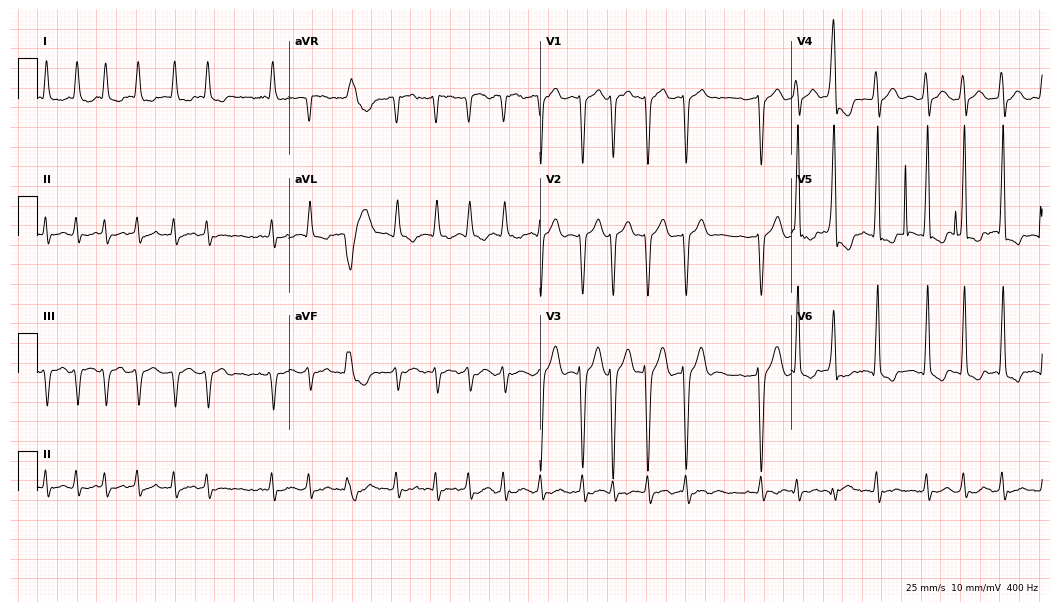
ECG (10.2-second recording at 400 Hz) — a male, 74 years old. Screened for six findings — first-degree AV block, right bundle branch block, left bundle branch block, sinus bradycardia, atrial fibrillation, sinus tachycardia — none is recorded. Findings outside these six are not listed.